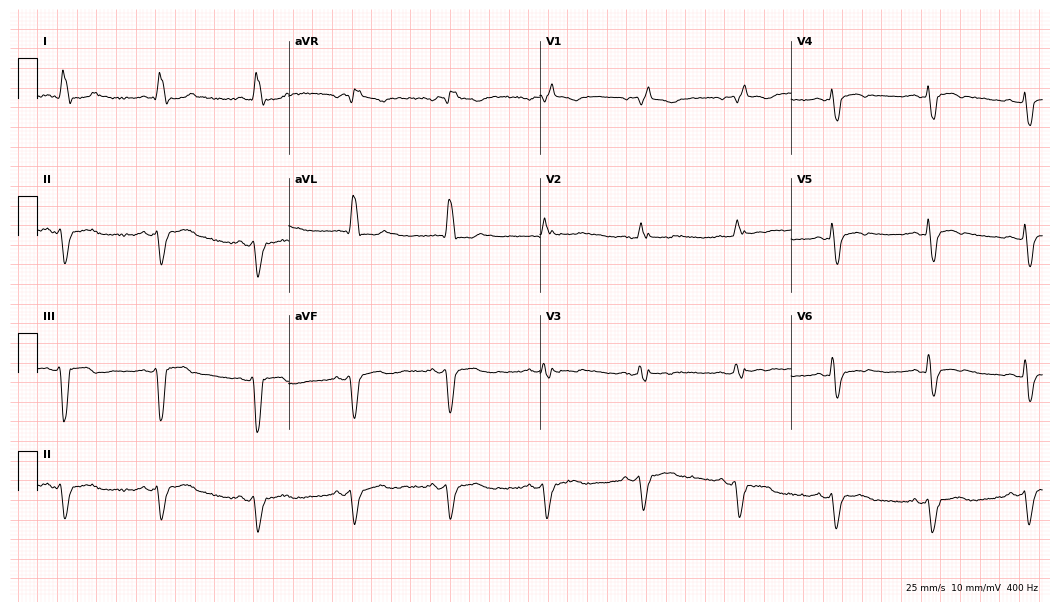
12-lead ECG from a female, 68 years old. Findings include right bundle branch block.